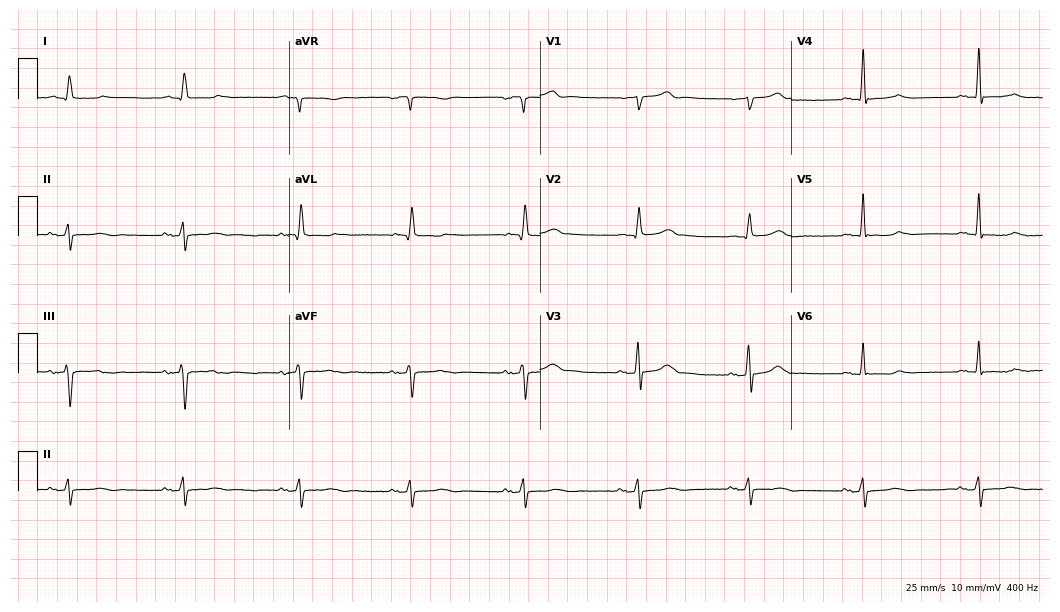
Resting 12-lead electrocardiogram. Patient: a 76-year-old male. None of these six findings is recorded: first-degree AV block, right bundle branch block, left bundle branch block, sinus bradycardia, atrial fibrillation, sinus tachycardia.